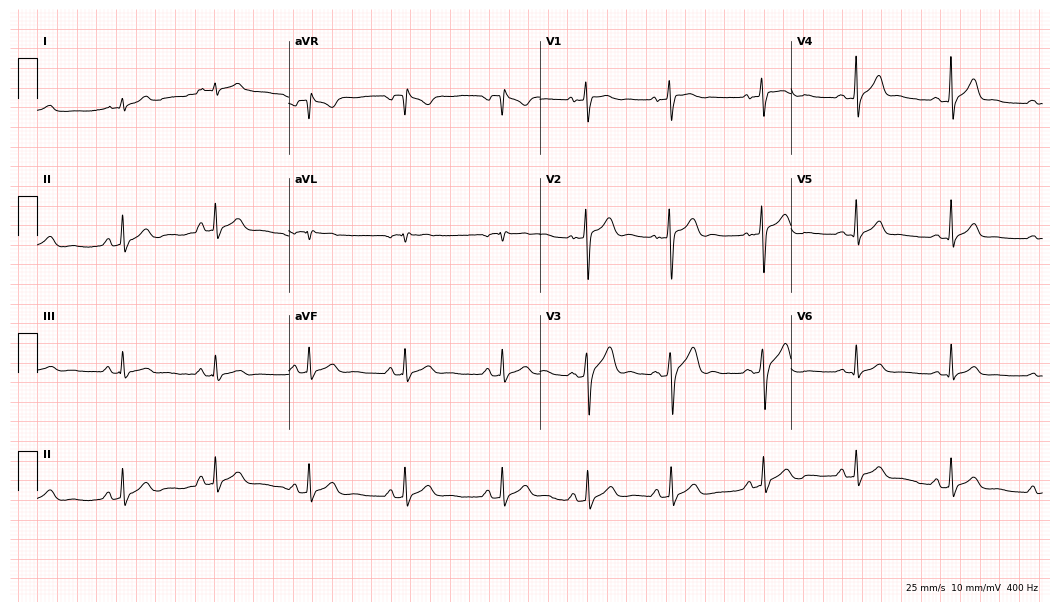
Electrocardiogram, a man, 29 years old. Of the six screened findings (first-degree AV block, right bundle branch block, left bundle branch block, sinus bradycardia, atrial fibrillation, sinus tachycardia), none is recorded.